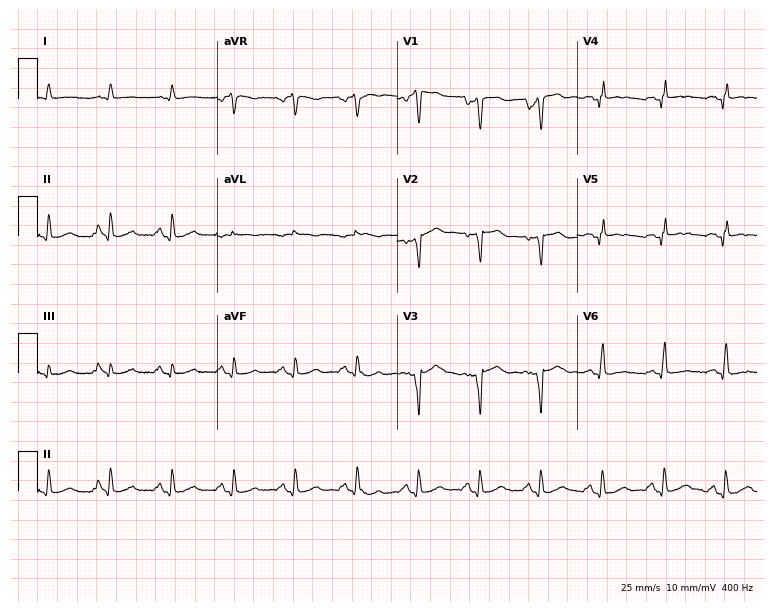
12-lead ECG from a male patient, 58 years old. No first-degree AV block, right bundle branch block, left bundle branch block, sinus bradycardia, atrial fibrillation or sinus tachycardia recorded for this tracing.